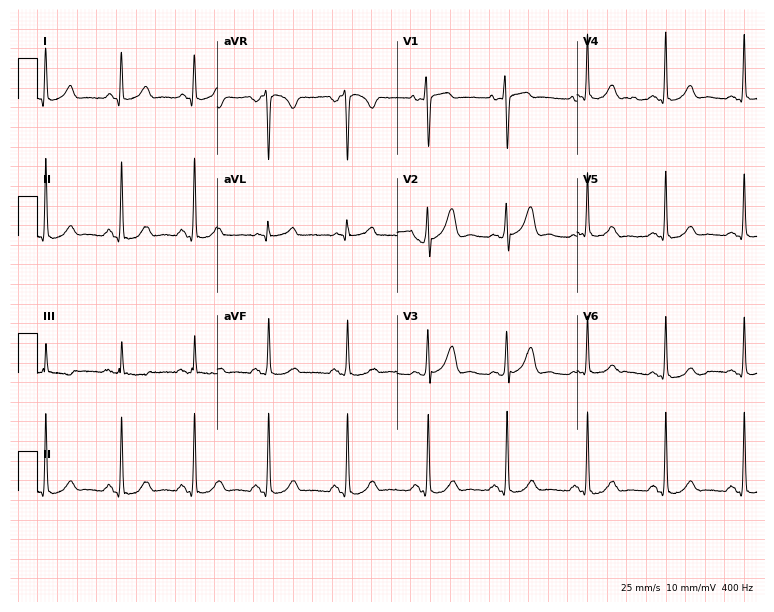
Electrocardiogram, a 38-year-old female. Overall reading on record: normal ECG.